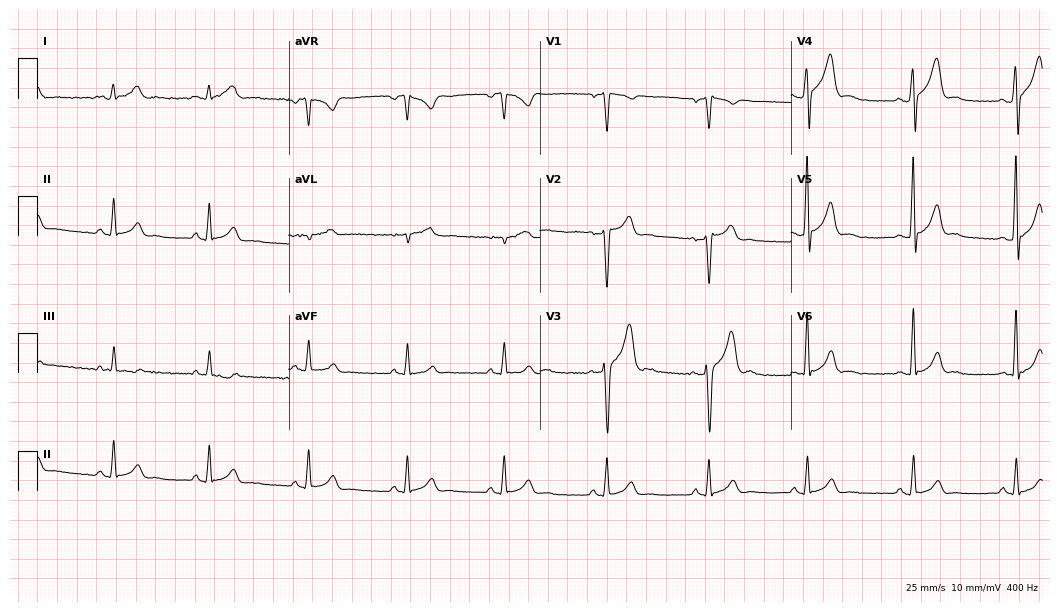
ECG — a 28-year-old man. Screened for six findings — first-degree AV block, right bundle branch block, left bundle branch block, sinus bradycardia, atrial fibrillation, sinus tachycardia — none is recorded. Findings outside these six are not listed.